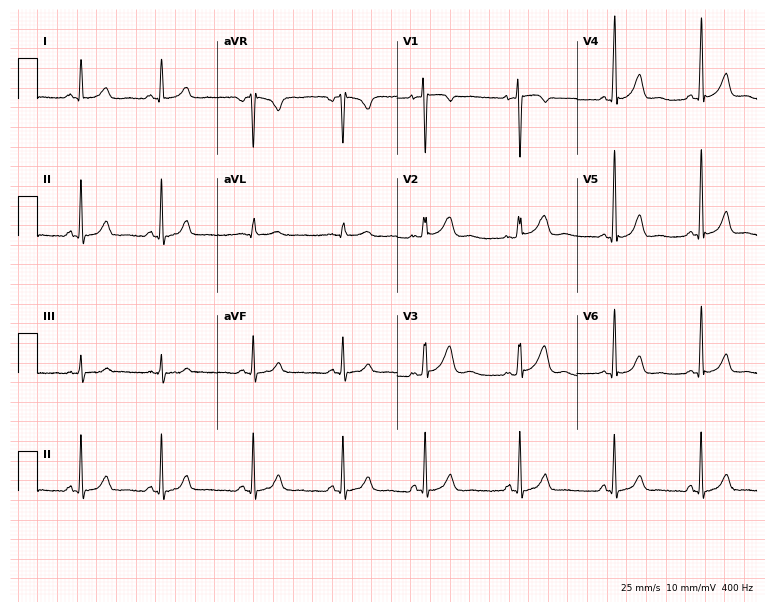
12-lead ECG from a woman, 18 years old. Recorded interpretation: within normal limits.